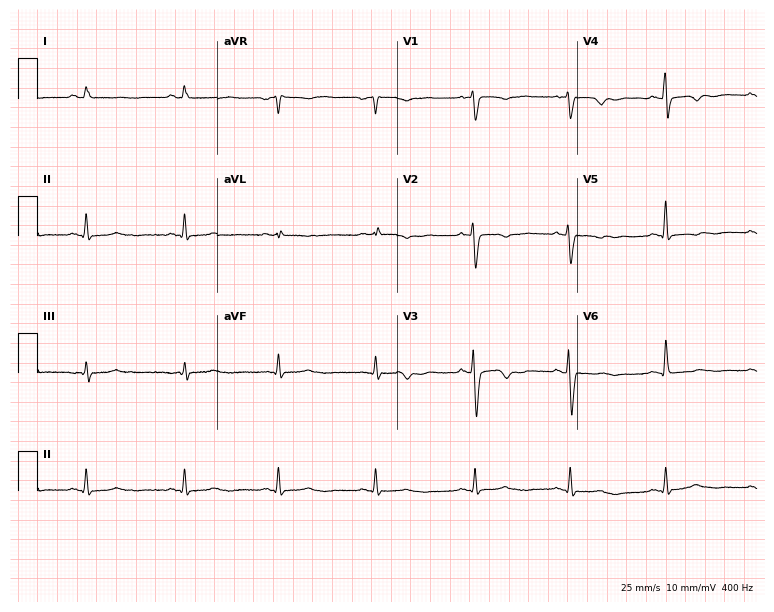
ECG (7.3-second recording at 400 Hz) — a female patient, 25 years old. Screened for six findings — first-degree AV block, right bundle branch block (RBBB), left bundle branch block (LBBB), sinus bradycardia, atrial fibrillation (AF), sinus tachycardia — none is recorded. Only these six findings were labelled.